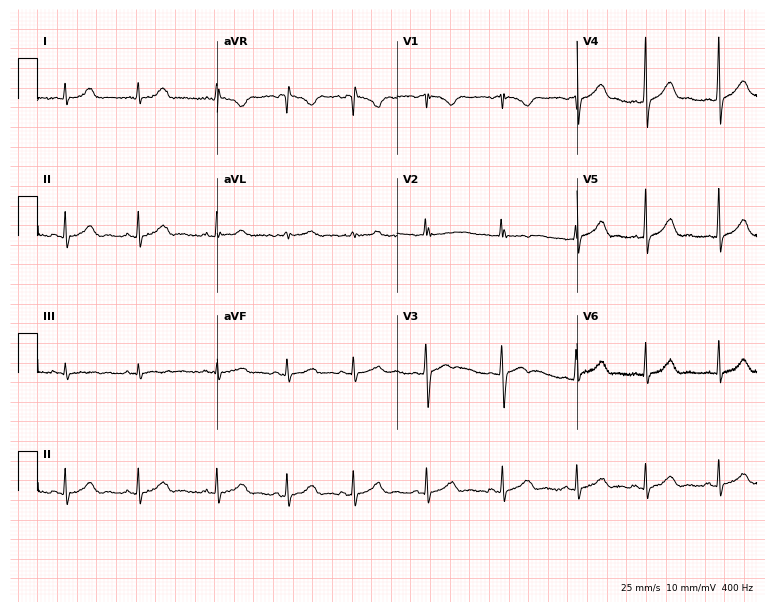
Resting 12-lead electrocardiogram. Patient: a female, 26 years old. None of these six findings is recorded: first-degree AV block, right bundle branch block, left bundle branch block, sinus bradycardia, atrial fibrillation, sinus tachycardia. Only these six findings were labelled.